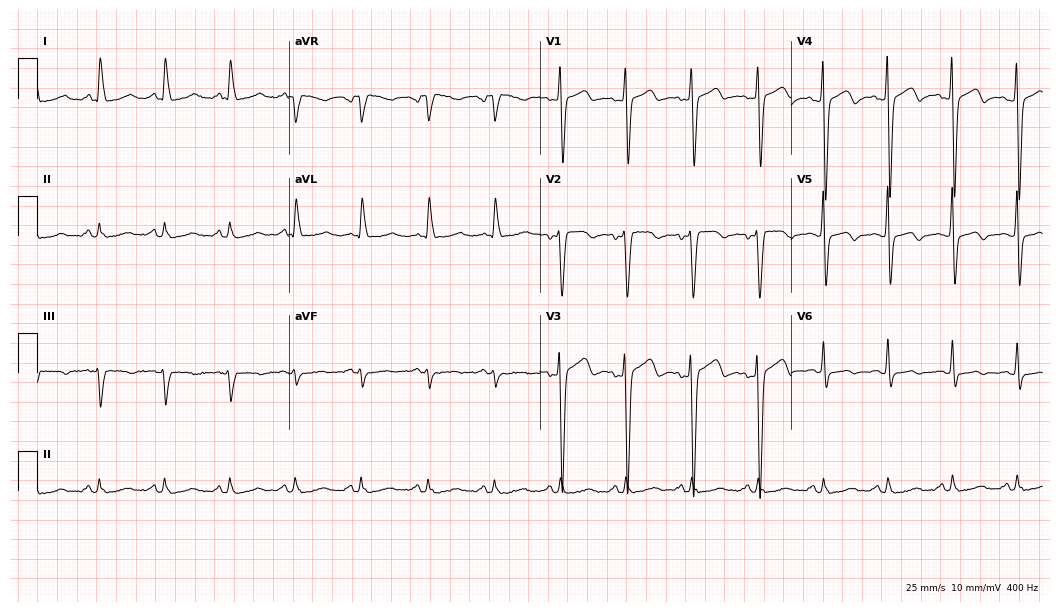
ECG — a 42-year-old female. Screened for six findings — first-degree AV block, right bundle branch block (RBBB), left bundle branch block (LBBB), sinus bradycardia, atrial fibrillation (AF), sinus tachycardia — none is recorded. Other findings, if any, are not listed.